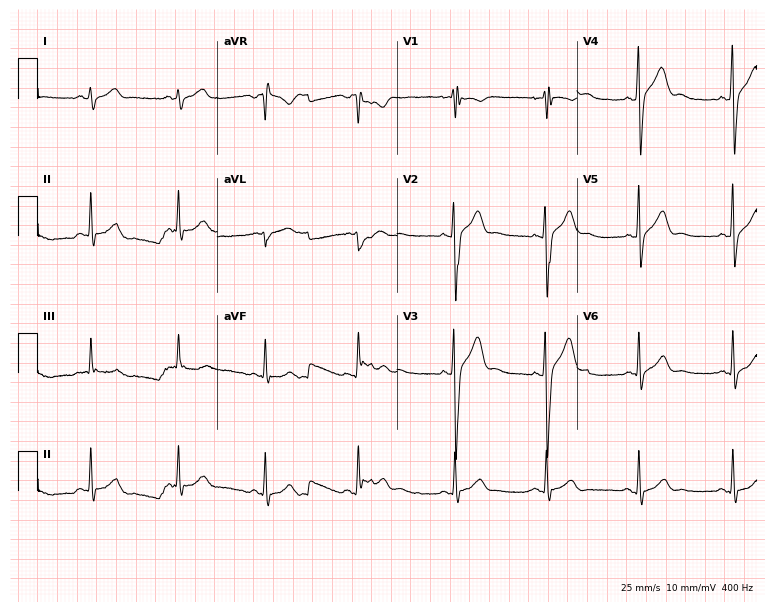
Electrocardiogram, a 19-year-old male patient. Of the six screened findings (first-degree AV block, right bundle branch block, left bundle branch block, sinus bradycardia, atrial fibrillation, sinus tachycardia), none is recorded.